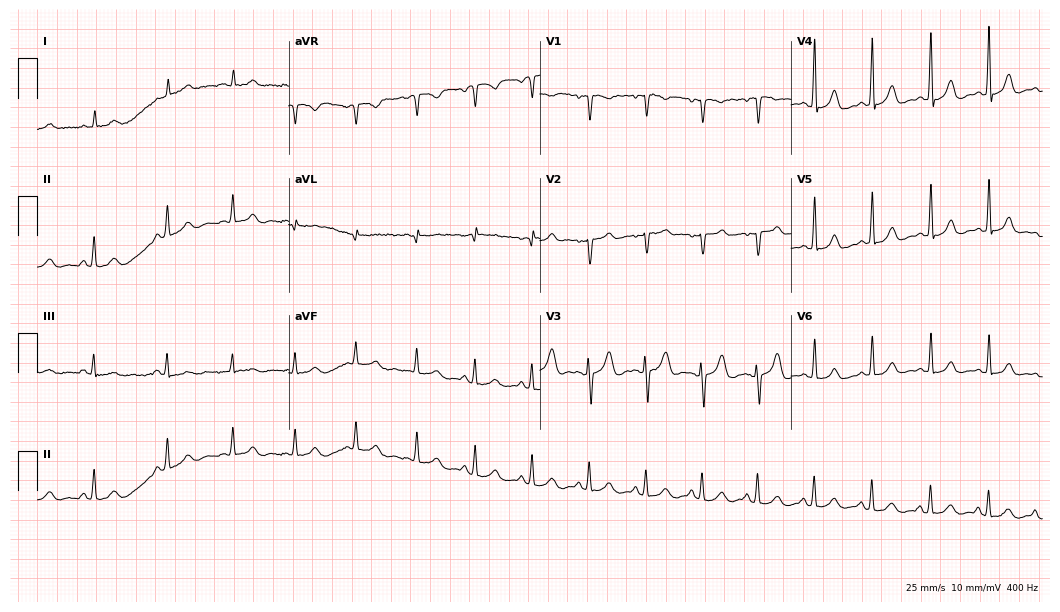
ECG — a female patient, 35 years old. Screened for six findings — first-degree AV block, right bundle branch block, left bundle branch block, sinus bradycardia, atrial fibrillation, sinus tachycardia — none is recorded.